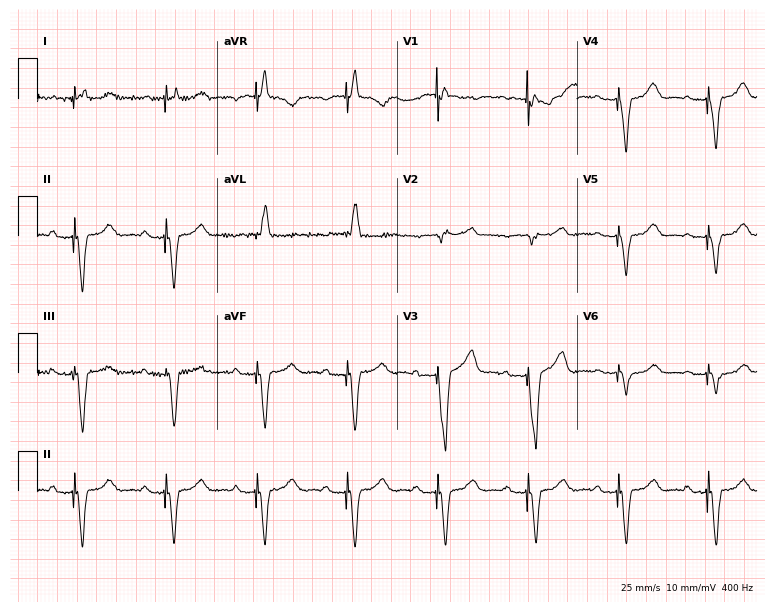
Standard 12-lead ECG recorded from a woman, 82 years old. None of these six findings is recorded: first-degree AV block, right bundle branch block, left bundle branch block, sinus bradycardia, atrial fibrillation, sinus tachycardia. Findings outside these six are not listed.